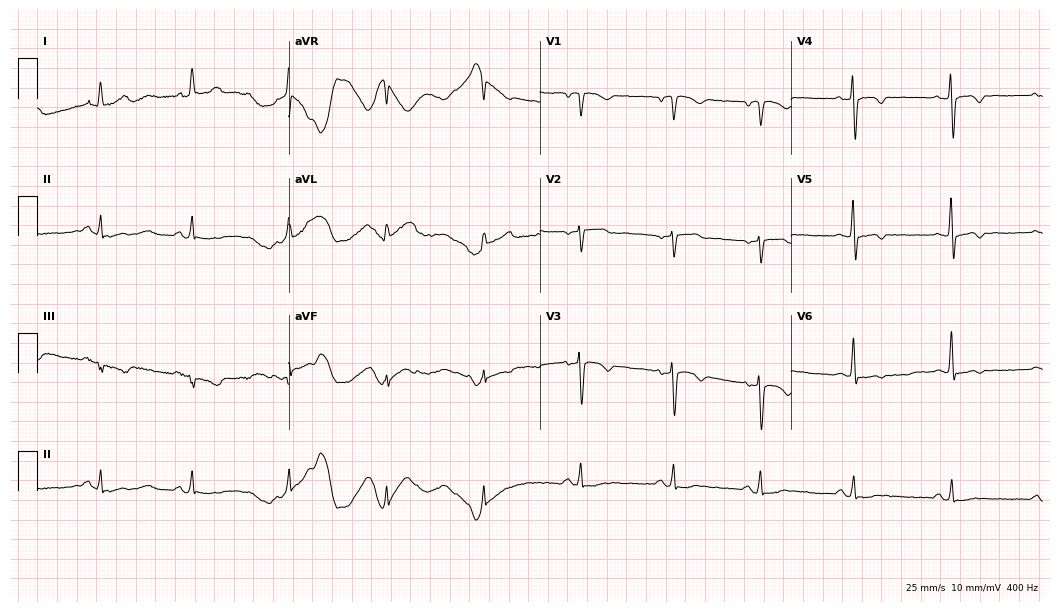
Standard 12-lead ECG recorded from a female, 61 years old. None of these six findings is recorded: first-degree AV block, right bundle branch block, left bundle branch block, sinus bradycardia, atrial fibrillation, sinus tachycardia.